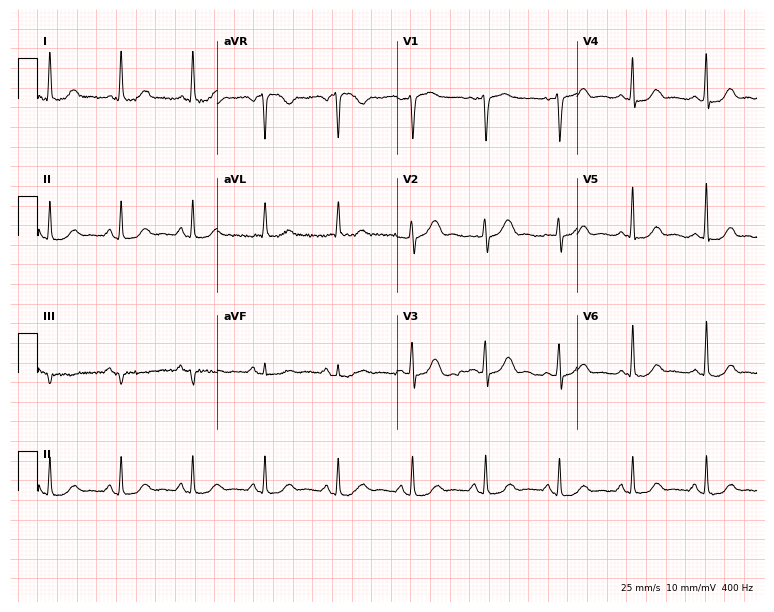
ECG (7.3-second recording at 400 Hz) — a female patient, 58 years old. Labelled as a normal ECG.